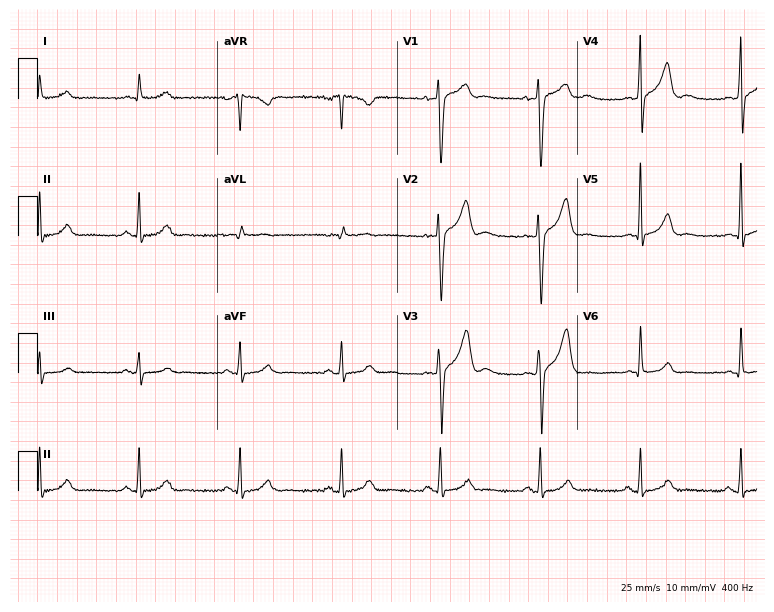
Standard 12-lead ECG recorded from a 52-year-old male (7.3-second recording at 400 Hz). None of these six findings is recorded: first-degree AV block, right bundle branch block (RBBB), left bundle branch block (LBBB), sinus bradycardia, atrial fibrillation (AF), sinus tachycardia.